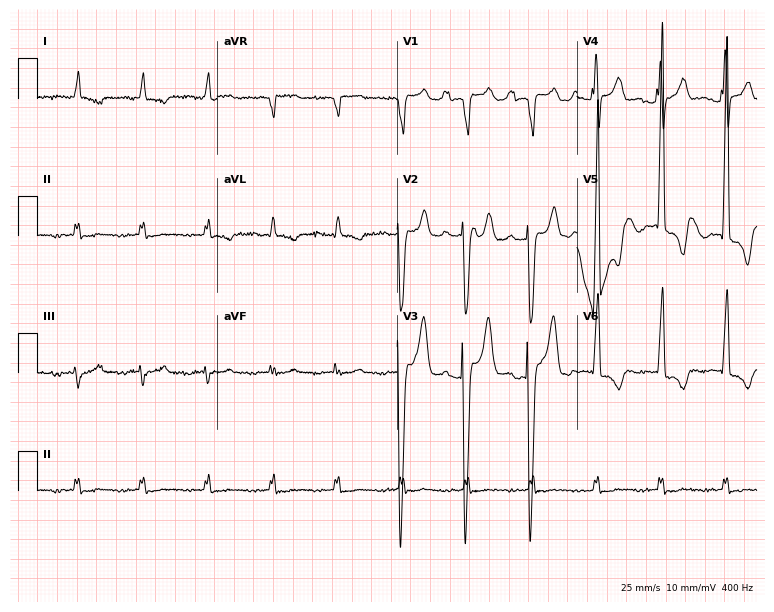
12-lead ECG (7.3-second recording at 400 Hz) from a male patient, 71 years old. Screened for six findings — first-degree AV block, right bundle branch block, left bundle branch block, sinus bradycardia, atrial fibrillation, sinus tachycardia — none is recorded. Other findings, if any, are not listed.